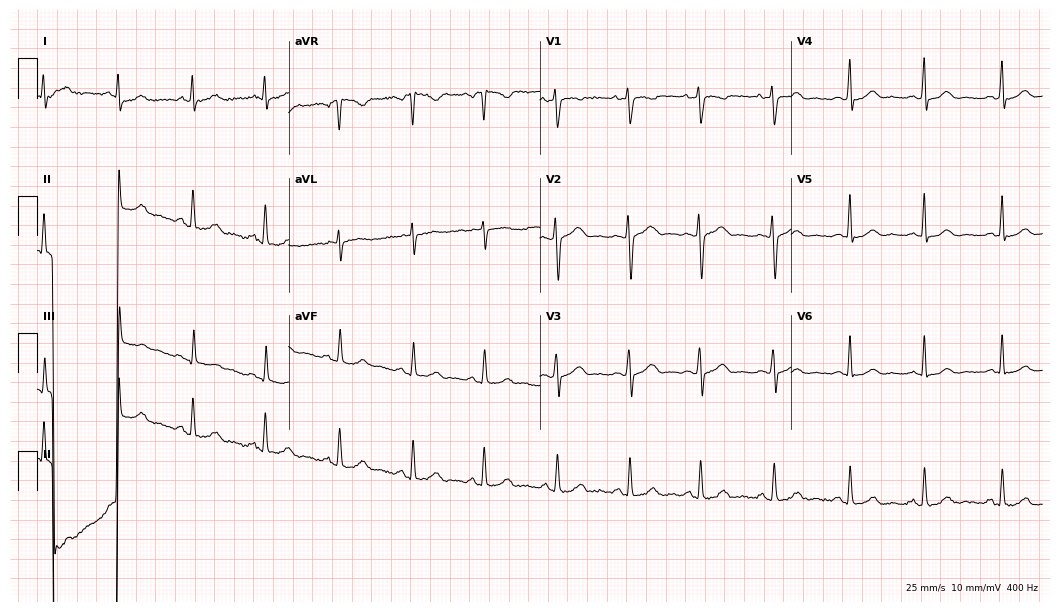
Electrocardiogram (10.2-second recording at 400 Hz), a 25-year-old woman. Overall reading on record: normal ECG.